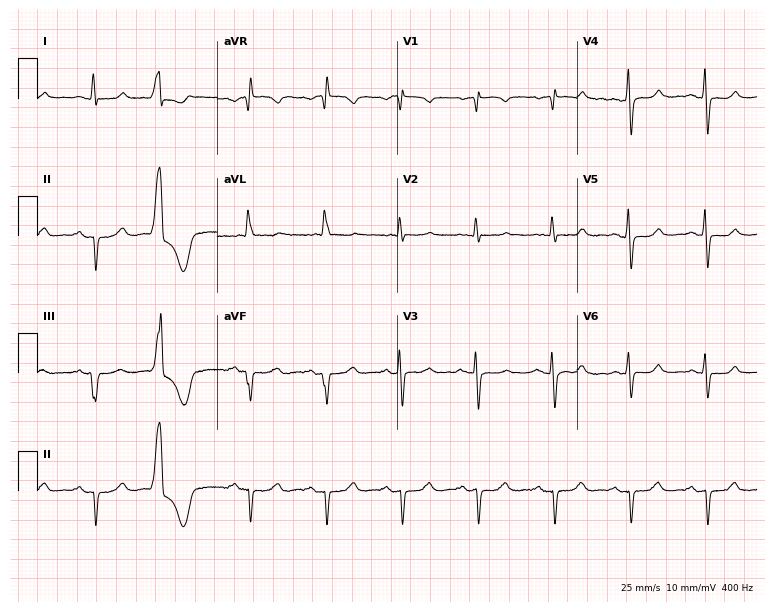
12-lead ECG from a 73-year-old woman. Screened for six findings — first-degree AV block, right bundle branch block, left bundle branch block, sinus bradycardia, atrial fibrillation, sinus tachycardia — none is recorded. Other findings, if any, are not listed.